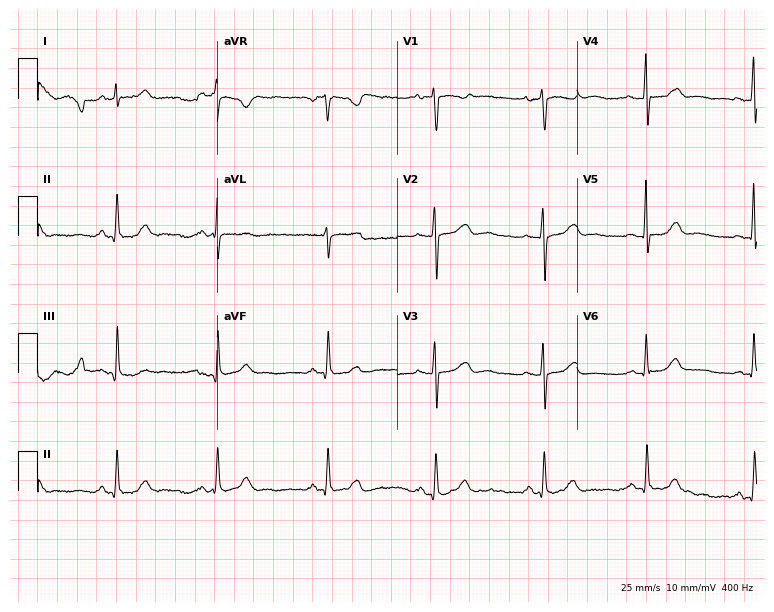
Electrocardiogram, a female patient, 76 years old. Overall reading on record: normal ECG.